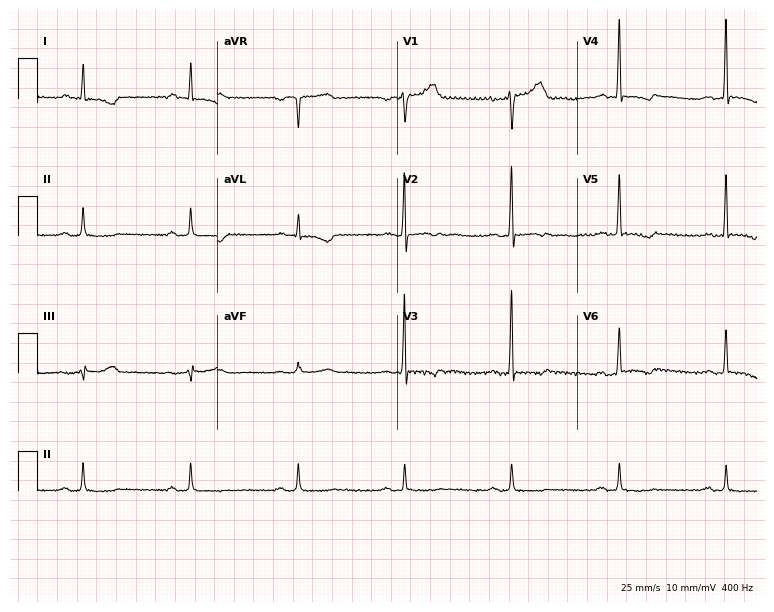
12-lead ECG from a 65-year-old man. No first-degree AV block, right bundle branch block, left bundle branch block, sinus bradycardia, atrial fibrillation or sinus tachycardia recorded for this tracing.